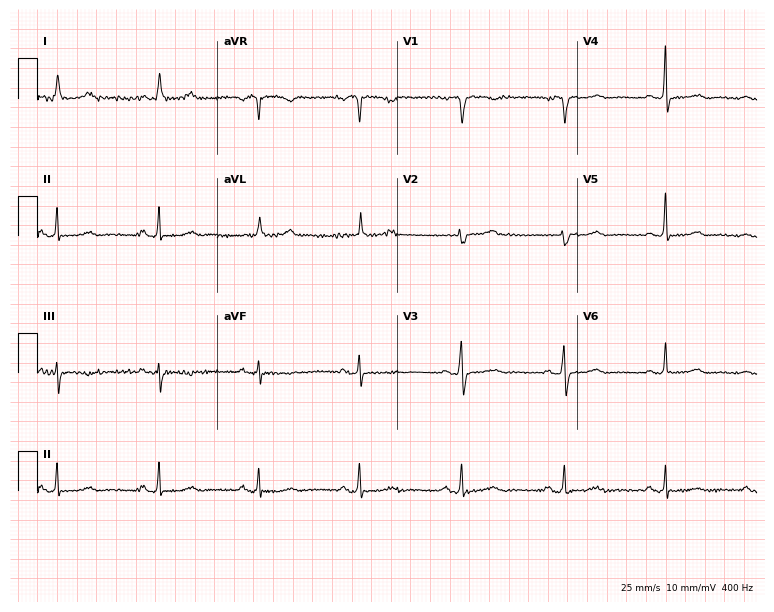
12-lead ECG from a woman, 72 years old. Recorded interpretation: within normal limits.